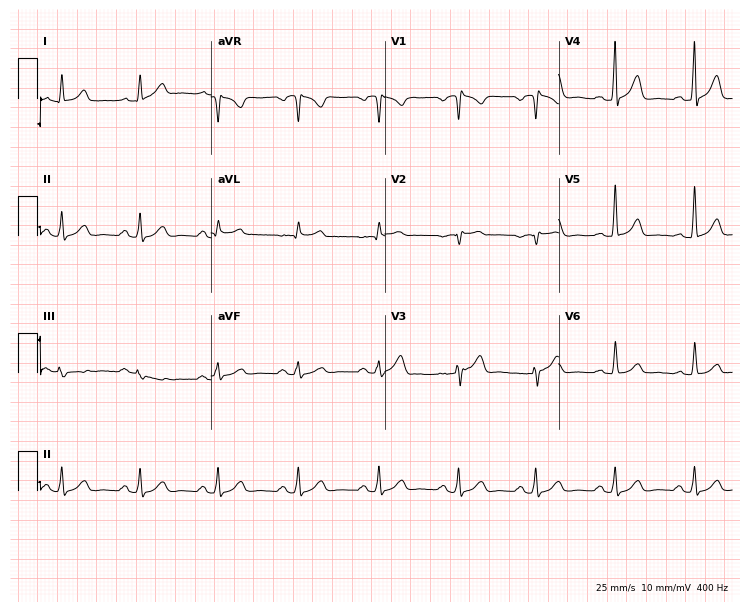
Resting 12-lead electrocardiogram (7.1-second recording at 400 Hz). Patient: a 41-year-old male. None of these six findings is recorded: first-degree AV block, right bundle branch block, left bundle branch block, sinus bradycardia, atrial fibrillation, sinus tachycardia. Other findings, if any, are not listed.